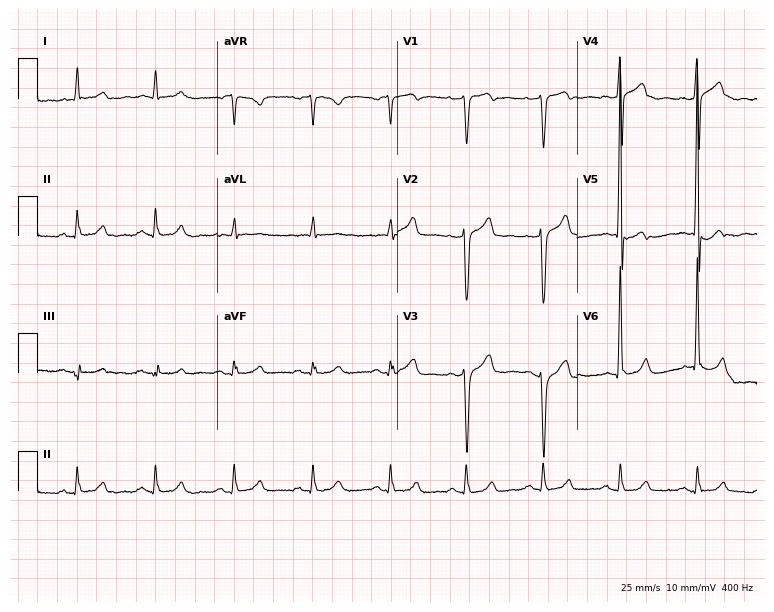
Electrocardiogram, a man, 71 years old. Of the six screened findings (first-degree AV block, right bundle branch block, left bundle branch block, sinus bradycardia, atrial fibrillation, sinus tachycardia), none is recorded.